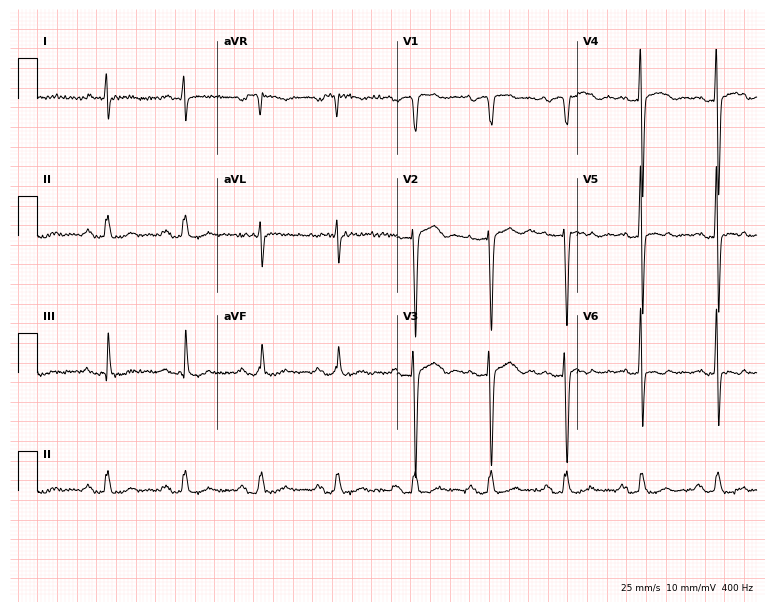
12-lead ECG (7.3-second recording at 400 Hz) from an 86-year-old man. Screened for six findings — first-degree AV block, right bundle branch block, left bundle branch block, sinus bradycardia, atrial fibrillation, sinus tachycardia — none is recorded.